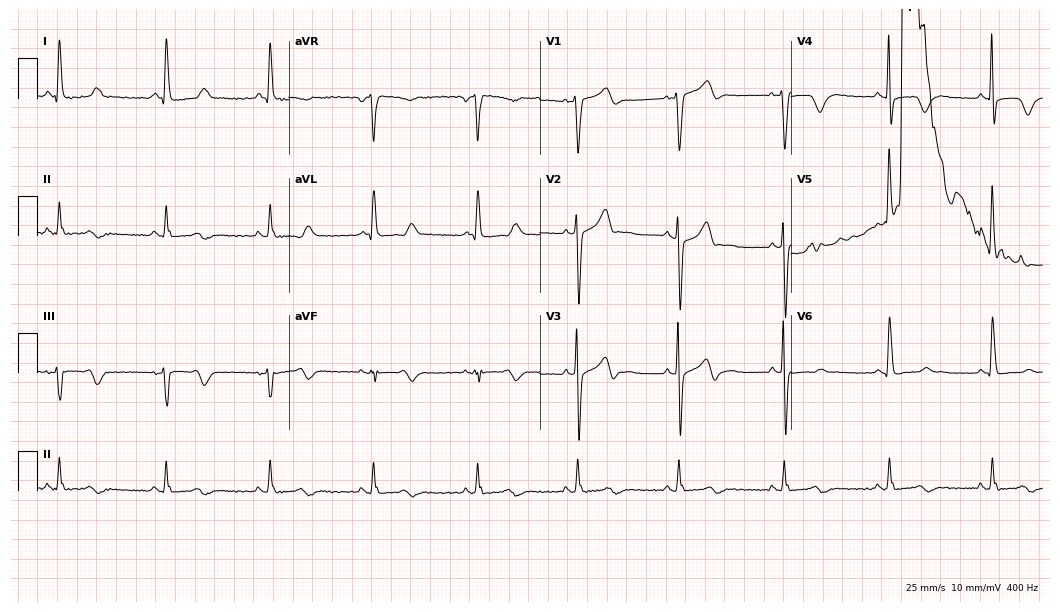
Electrocardiogram (10.2-second recording at 400 Hz), a 58-year-old male. Of the six screened findings (first-degree AV block, right bundle branch block, left bundle branch block, sinus bradycardia, atrial fibrillation, sinus tachycardia), none is recorded.